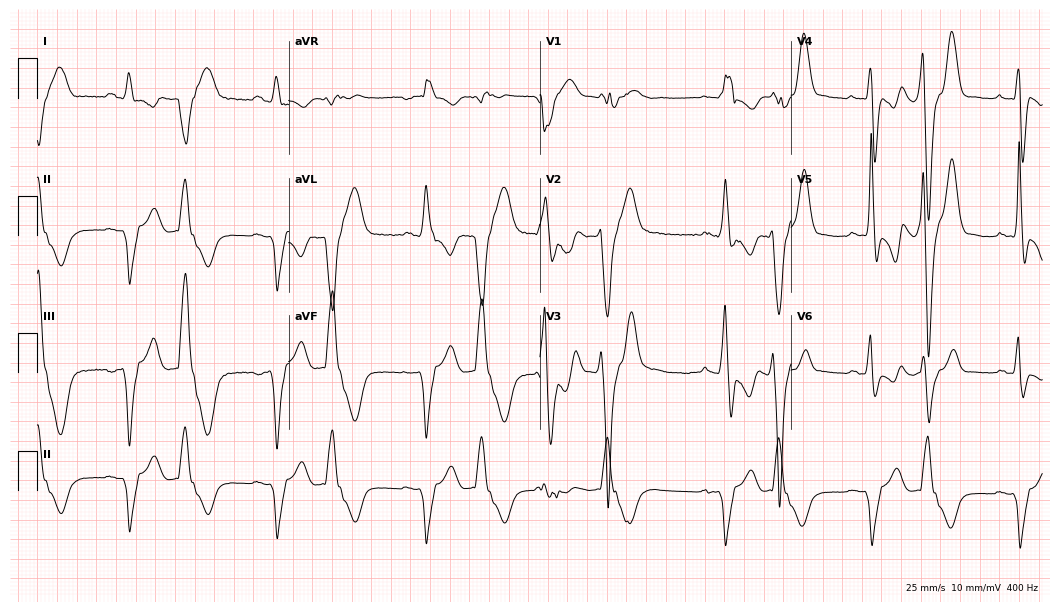
Standard 12-lead ECG recorded from a male patient, 53 years old (10.2-second recording at 400 Hz). The tracing shows right bundle branch block (RBBB).